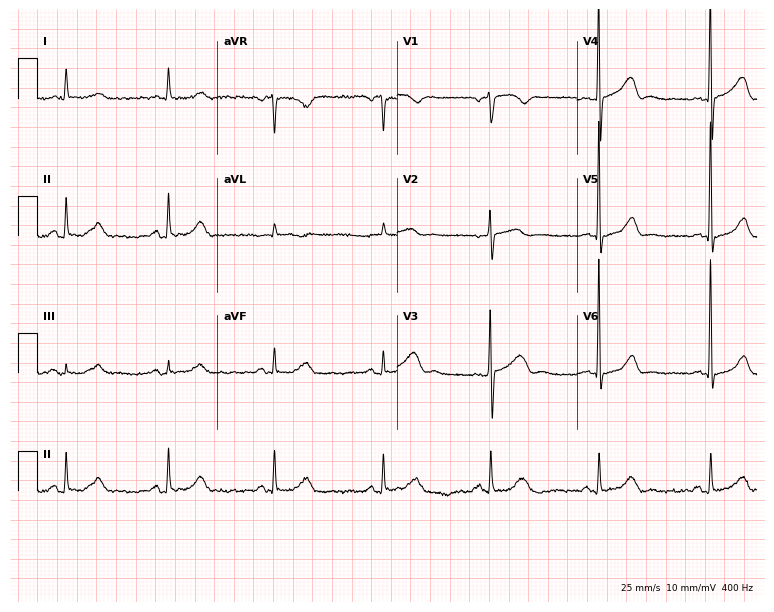
Electrocardiogram, a man, 80 years old. Overall reading on record: normal ECG.